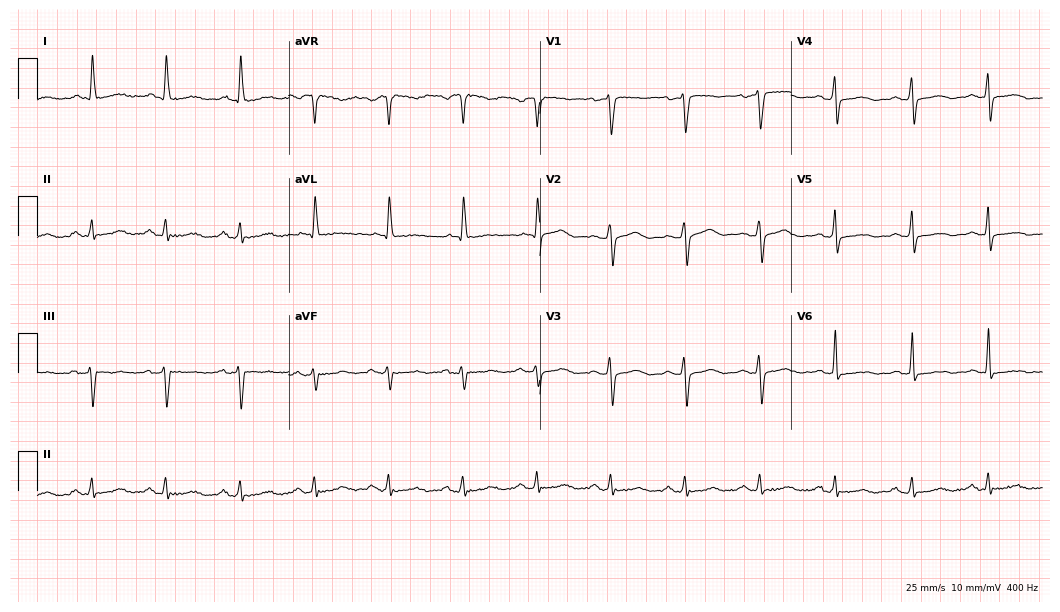
ECG — a 61-year-old woman. Labelled as a normal ECG.